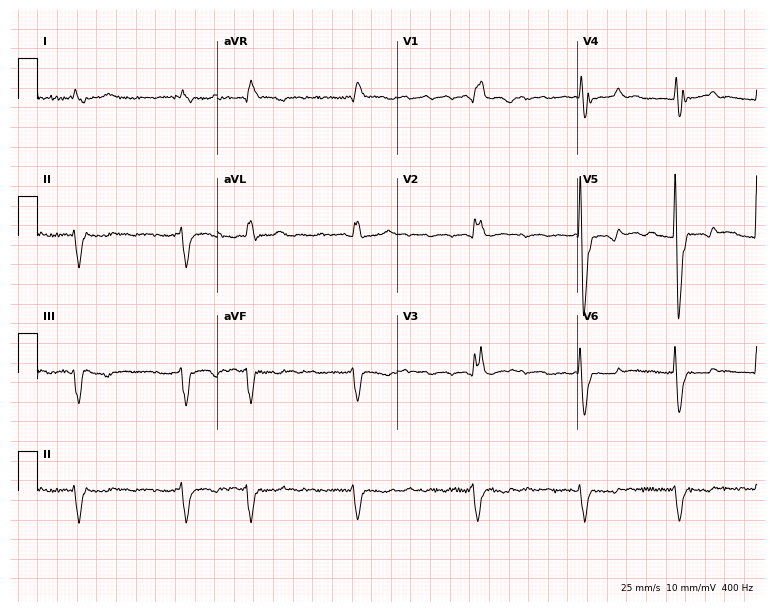
Standard 12-lead ECG recorded from an 83-year-old man (7.3-second recording at 400 Hz). None of these six findings is recorded: first-degree AV block, right bundle branch block (RBBB), left bundle branch block (LBBB), sinus bradycardia, atrial fibrillation (AF), sinus tachycardia.